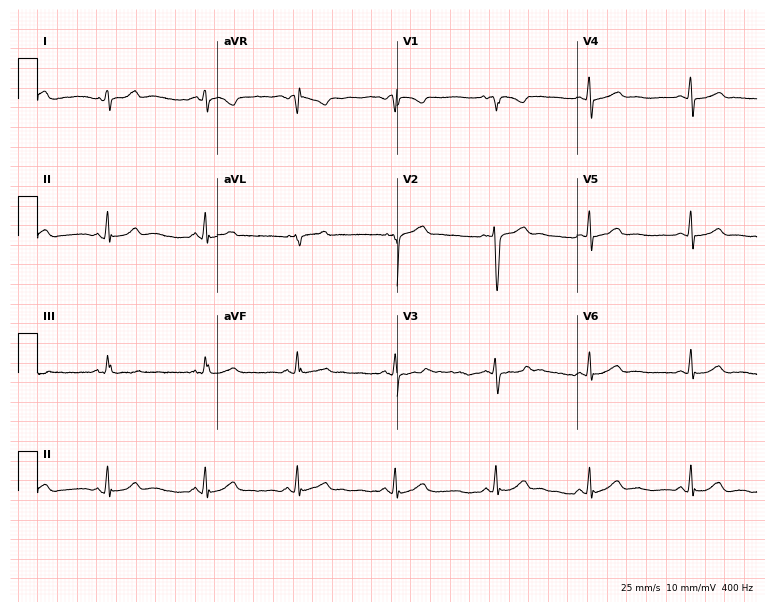
12-lead ECG from a woman, 21 years old (7.3-second recording at 400 Hz). Recorded interpretation: within normal limits.